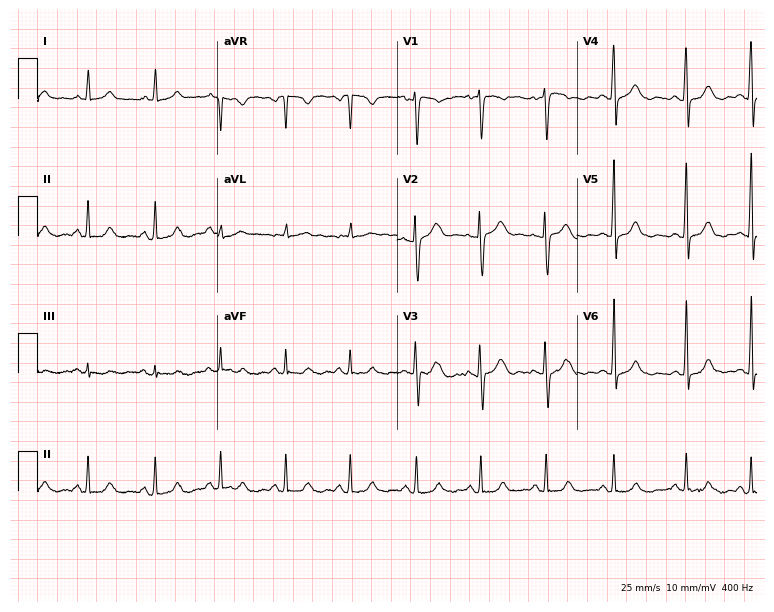
12-lead ECG from a female patient, 52 years old. Screened for six findings — first-degree AV block, right bundle branch block, left bundle branch block, sinus bradycardia, atrial fibrillation, sinus tachycardia — none is recorded.